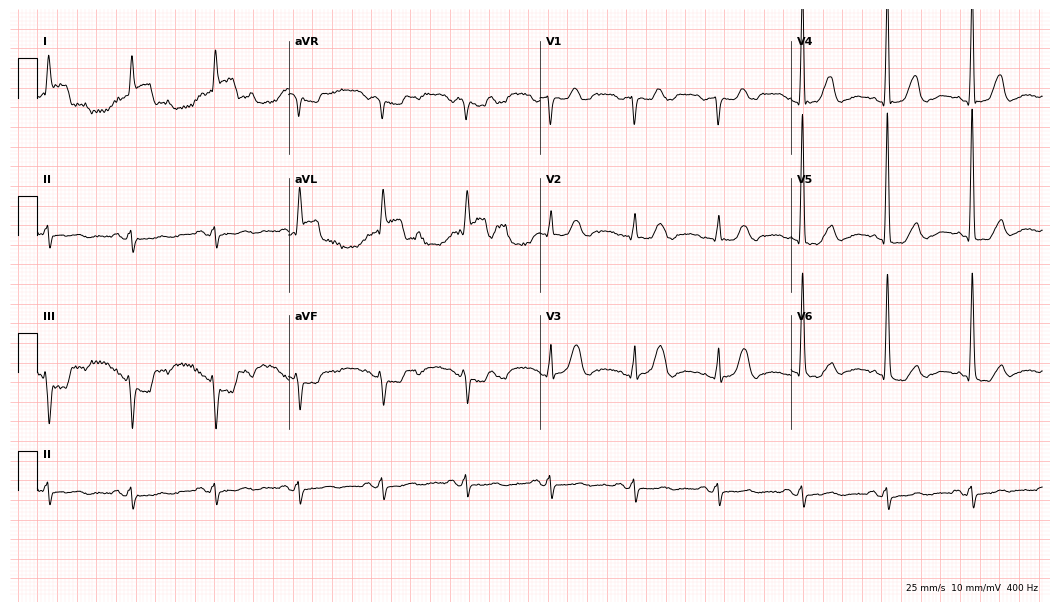
ECG — an 84-year-old male patient. Screened for six findings — first-degree AV block, right bundle branch block, left bundle branch block, sinus bradycardia, atrial fibrillation, sinus tachycardia — none is recorded. Findings outside these six are not listed.